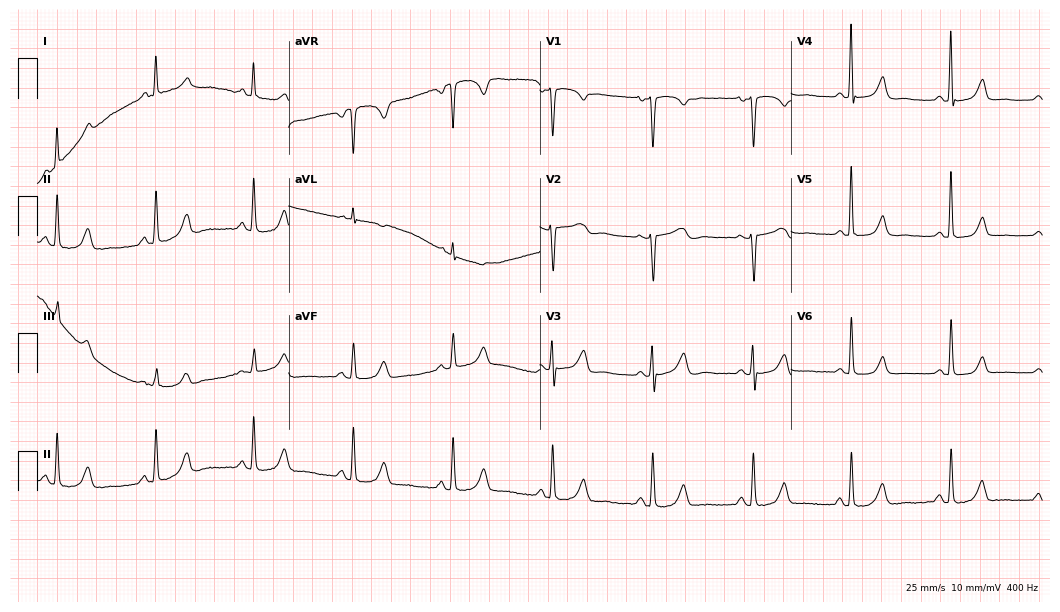
12-lead ECG (10.2-second recording at 400 Hz) from a 59-year-old female. Labelled as a normal ECG.